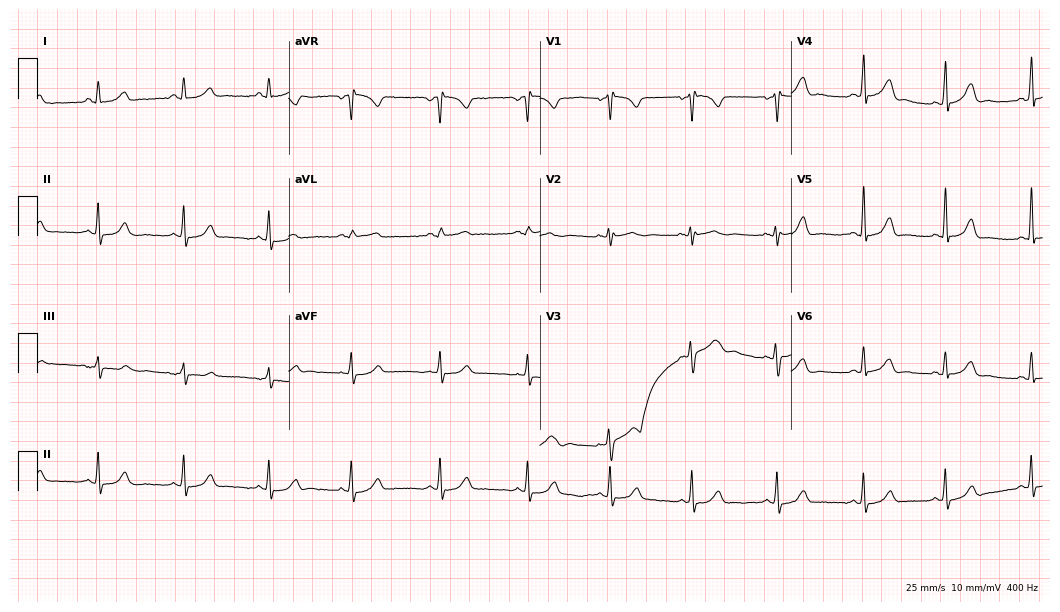
ECG (10.2-second recording at 400 Hz) — a female patient, 23 years old. Screened for six findings — first-degree AV block, right bundle branch block (RBBB), left bundle branch block (LBBB), sinus bradycardia, atrial fibrillation (AF), sinus tachycardia — none is recorded. Only these six findings were labelled.